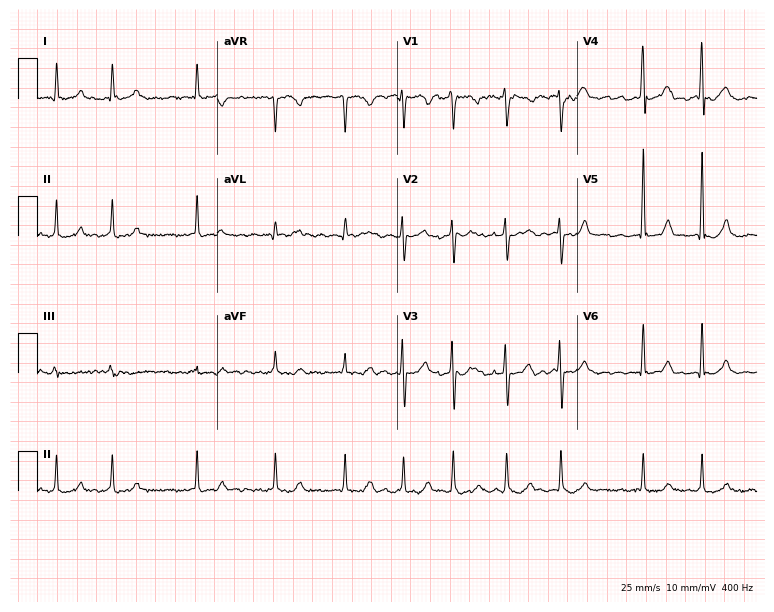
12-lead ECG from a 57-year-old female (7.3-second recording at 400 Hz). Shows atrial fibrillation.